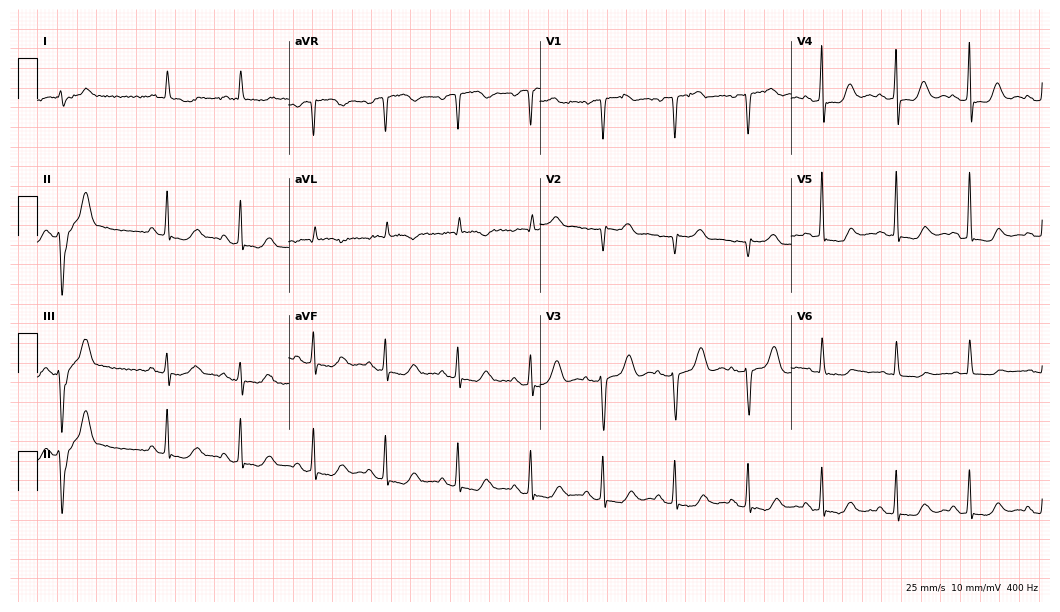
Electrocardiogram (10.2-second recording at 400 Hz), a female, 72 years old. Of the six screened findings (first-degree AV block, right bundle branch block, left bundle branch block, sinus bradycardia, atrial fibrillation, sinus tachycardia), none is recorded. Only these six findings were labelled.